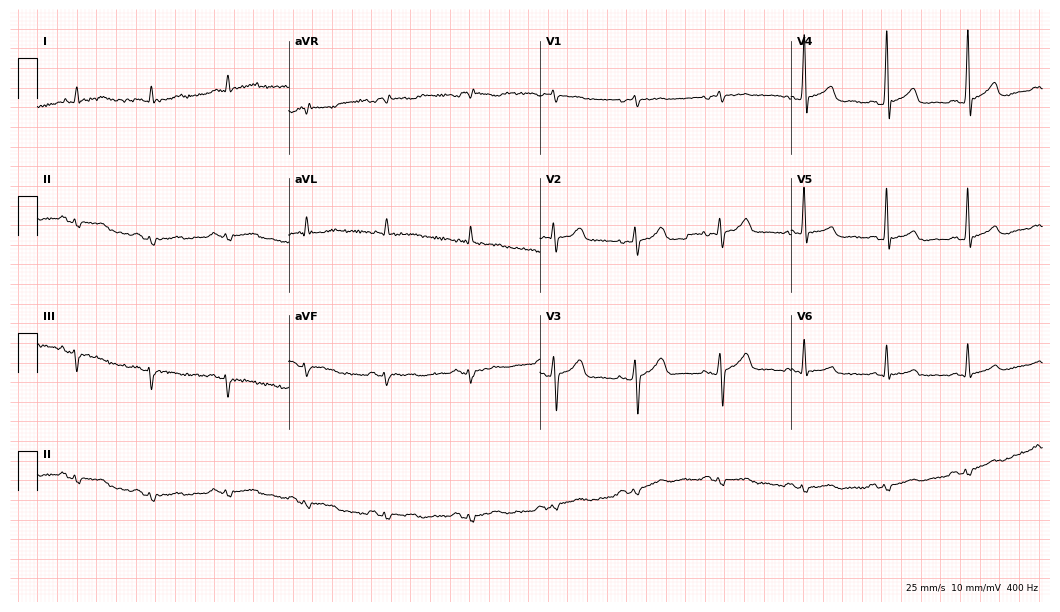
Resting 12-lead electrocardiogram (10.2-second recording at 400 Hz). Patient: a 28-year-old male. None of these six findings is recorded: first-degree AV block, right bundle branch block, left bundle branch block, sinus bradycardia, atrial fibrillation, sinus tachycardia.